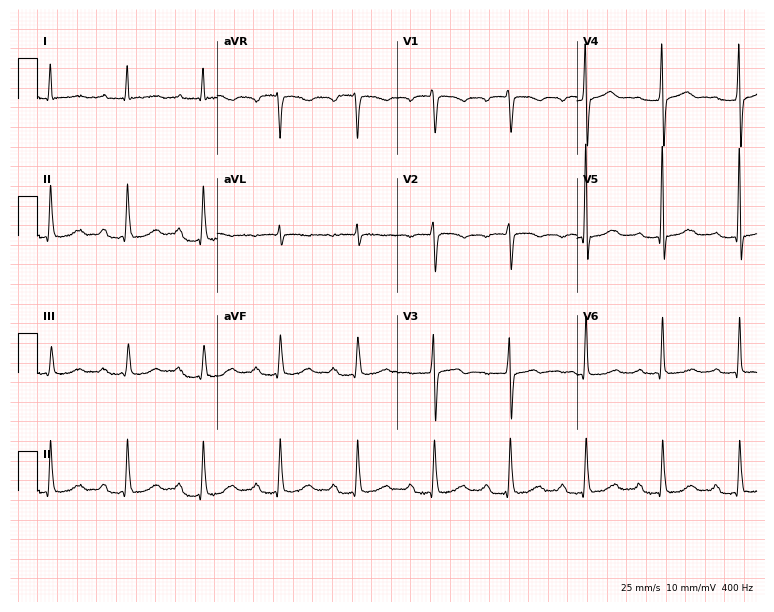
12-lead ECG from a woman, 76 years old. Shows first-degree AV block.